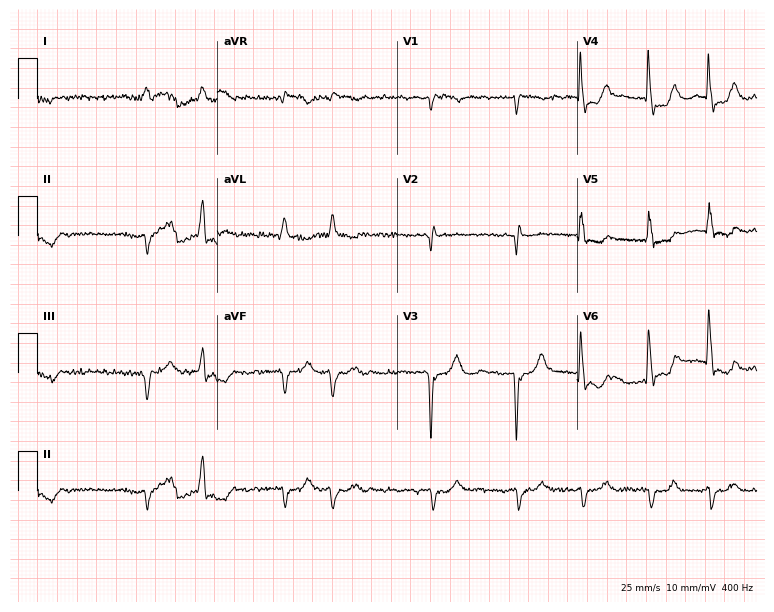
Standard 12-lead ECG recorded from an 84-year-old male (7.3-second recording at 400 Hz). The tracing shows atrial fibrillation.